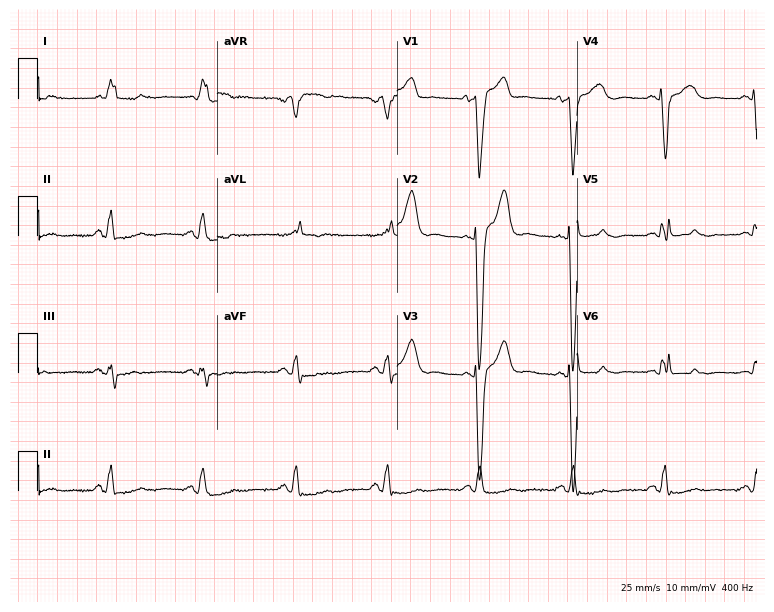
12-lead ECG (7.3-second recording at 400 Hz) from a male, 78 years old. Screened for six findings — first-degree AV block, right bundle branch block (RBBB), left bundle branch block (LBBB), sinus bradycardia, atrial fibrillation (AF), sinus tachycardia — none is recorded.